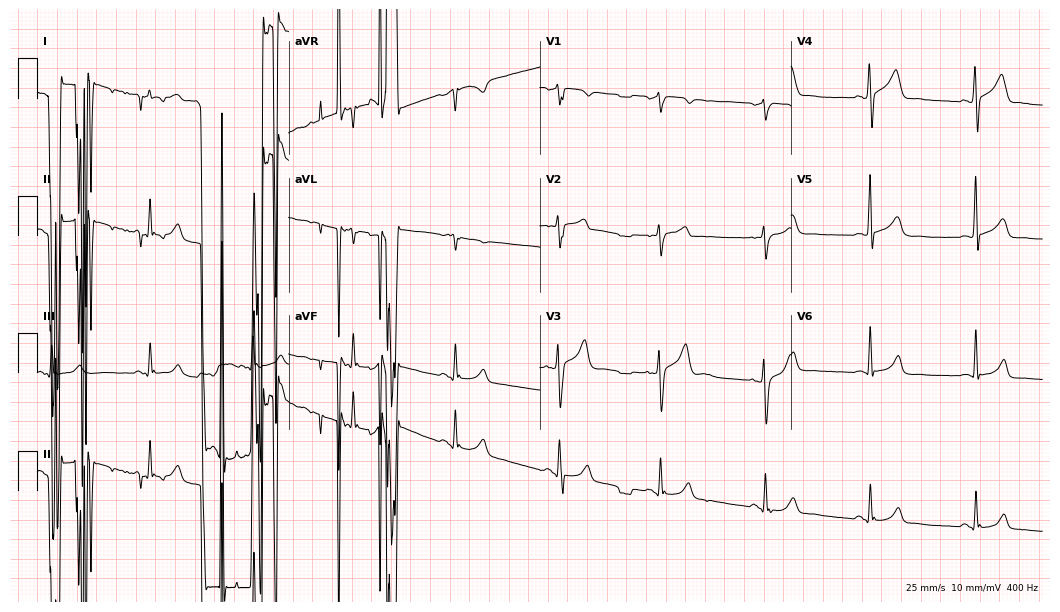
12-lead ECG from a man, 50 years old (10.2-second recording at 400 Hz). No first-degree AV block, right bundle branch block, left bundle branch block, sinus bradycardia, atrial fibrillation or sinus tachycardia recorded for this tracing.